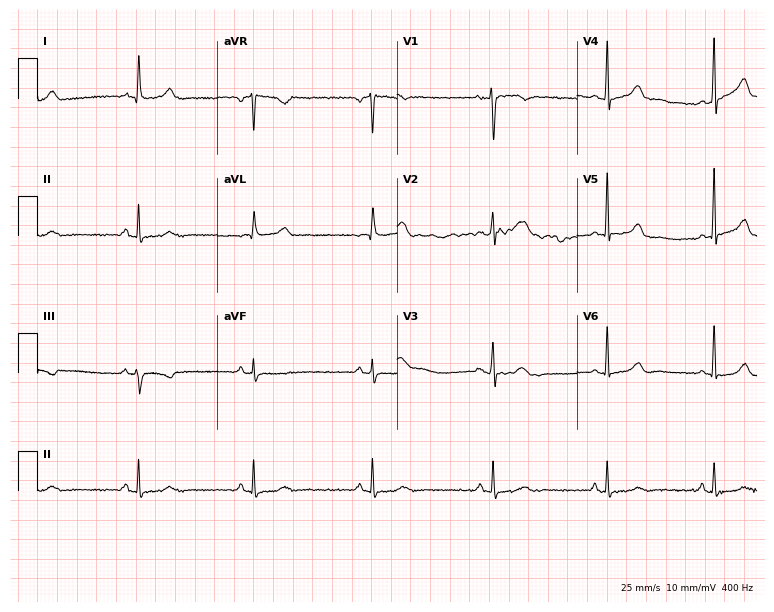
12-lead ECG (7.3-second recording at 400 Hz) from a female patient, 47 years old. Screened for six findings — first-degree AV block, right bundle branch block, left bundle branch block, sinus bradycardia, atrial fibrillation, sinus tachycardia — none is recorded. Only these six findings were labelled.